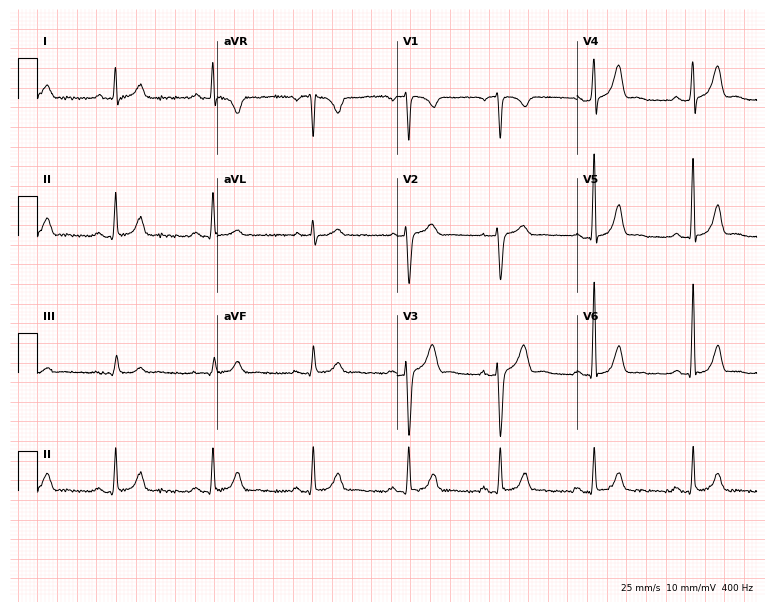
Electrocardiogram (7.3-second recording at 400 Hz), a 43-year-old man. Overall reading on record: normal ECG.